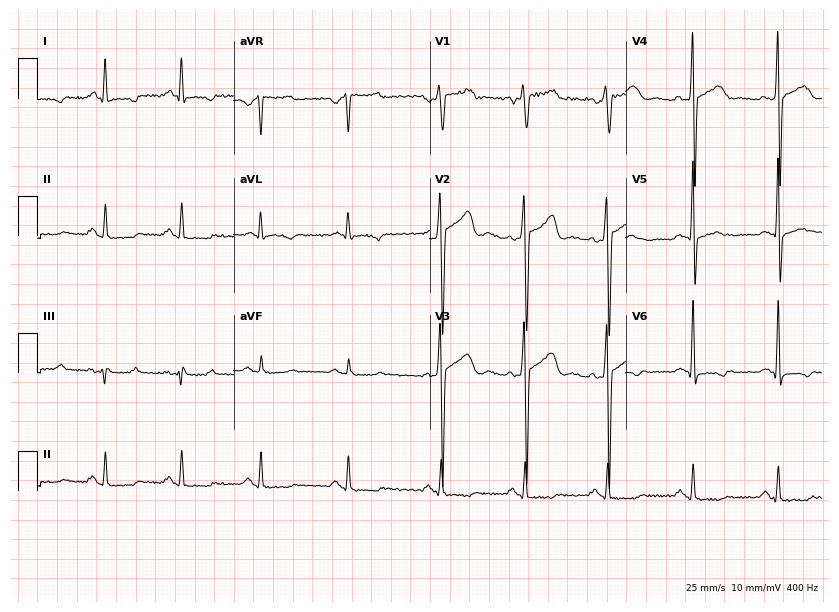
12-lead ECG (8-second recording at 400 Hz) from a 40-year-old man. Screened for six findings — first-degree AV block, right bundle branch block, left bundle branch block, sinus bradycardia, atrial fibrillation, sinus tachycardia — none is recorded.